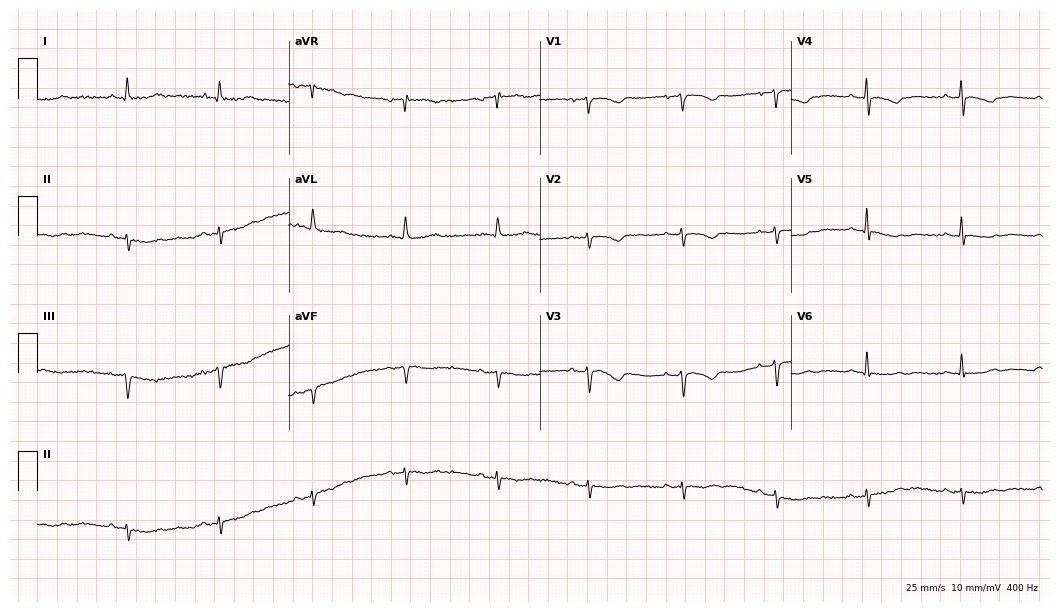
12-lead ECG from a female, 84 years old (10.2-second recording at 400 Hz). No first-degree AV block, right bundle branch block, left bundle branch block, sinus bradycardia, atrial fibrillation or sinus tachycardia recorded for this tracing.